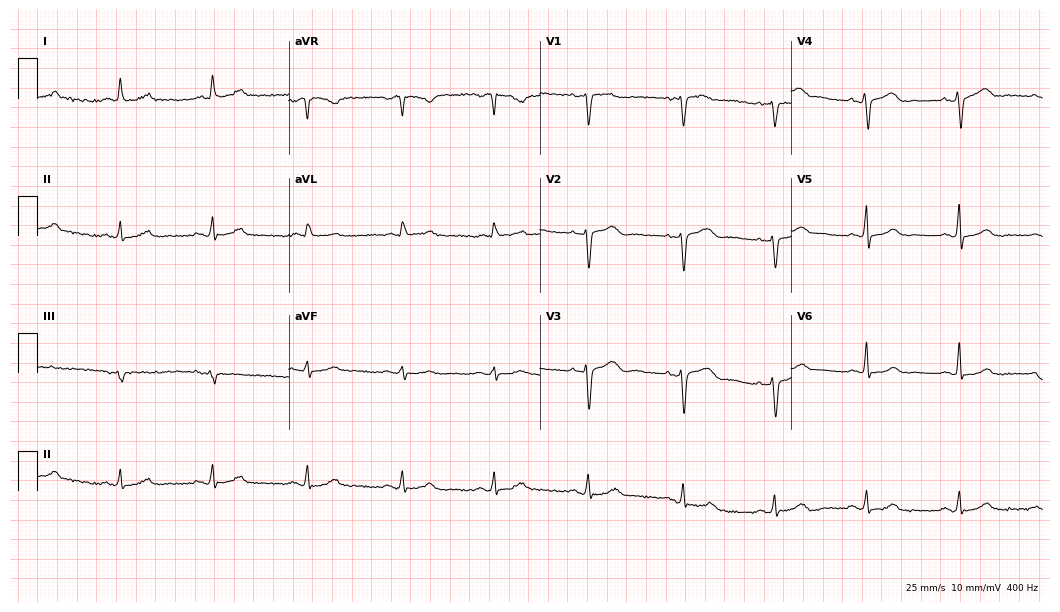
Resting 12-lead electrocardiogram. Patient: a female, 59 years old. Read as a normal ECG.